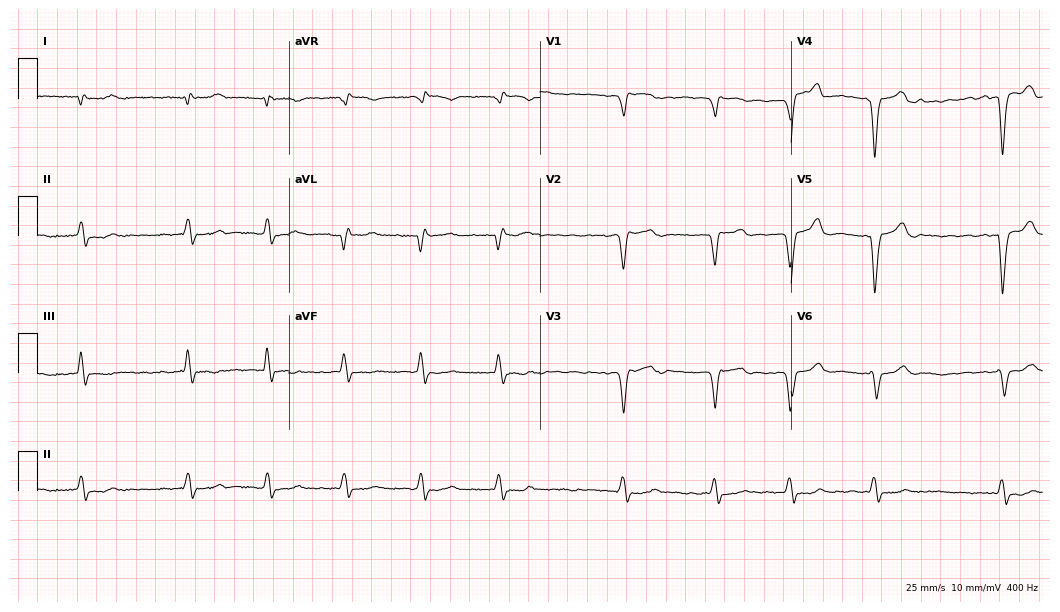
Electrocardiogram (10.2-second recording at 400 Hz), a female, 79 years old. Interpretation includes atrial fibrillation.